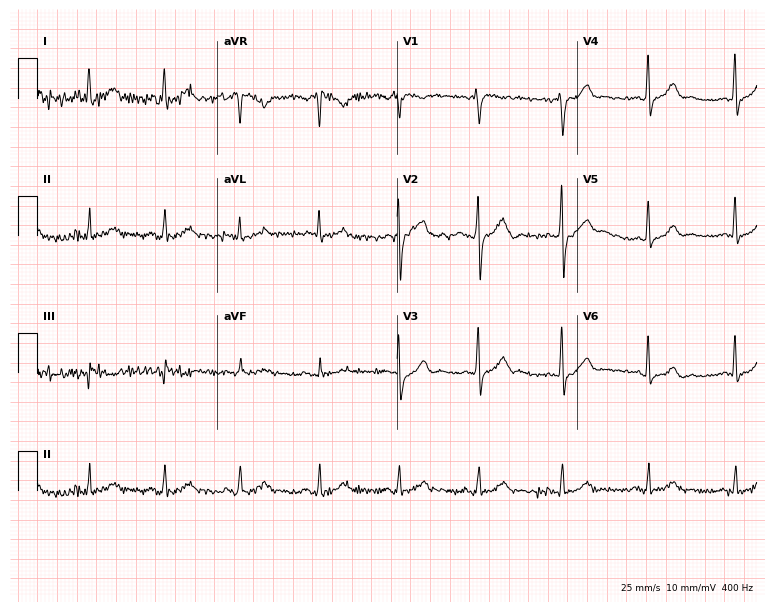
12-lead ECG from a 39-year-old male patient. Recorded interpretation: within normal limits.